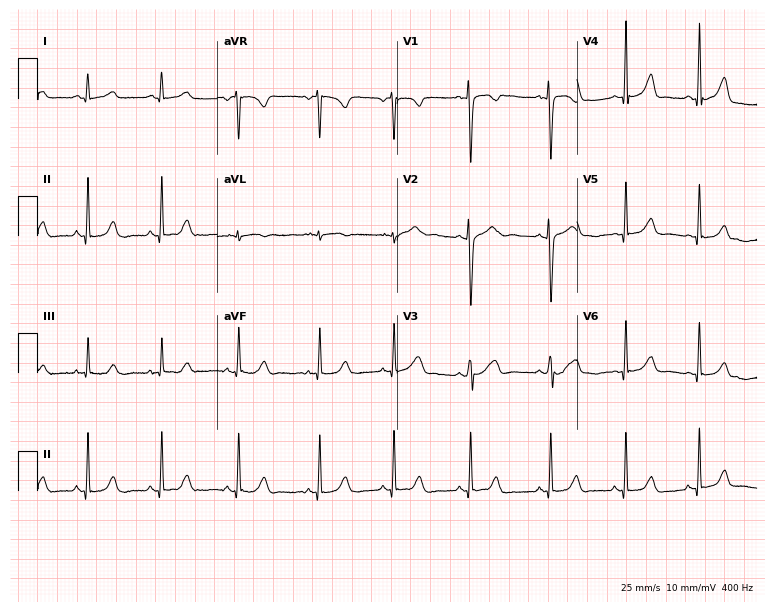
12-lead ECG from a 20-year-old female. Screened for six findings — first-degree AV block, right bundle branch block, left bundle branch block, sinus bradycardia, atrial fibrillation, sinus tachycardia — none is recorded. Findings outside these six are not listed.